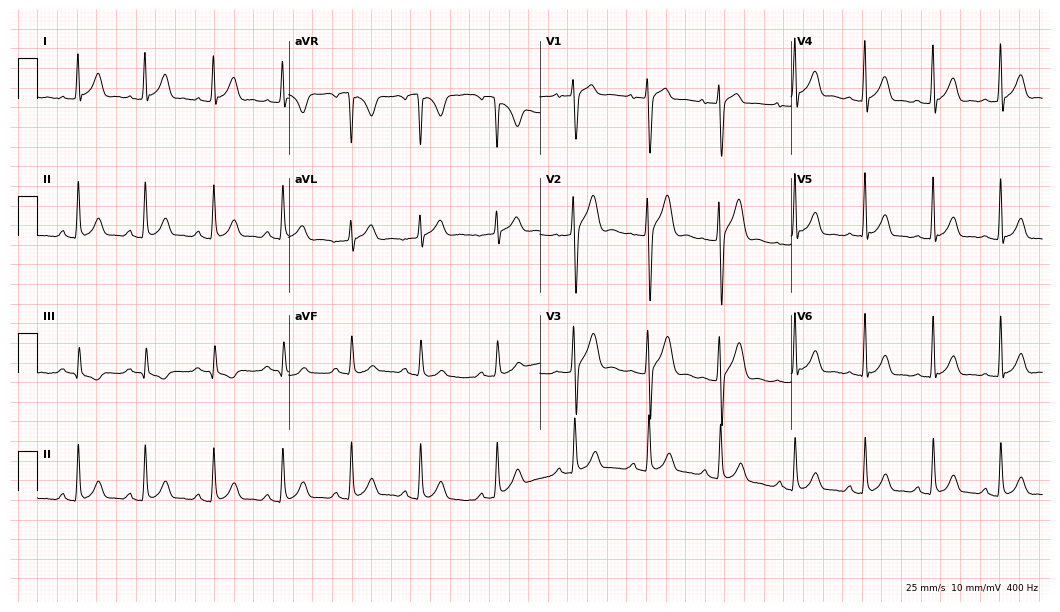
Electrocardiogram (10.2-second recording at 400 Hz), a 24-year-old male patient. Overall reading on record: normal ECG.